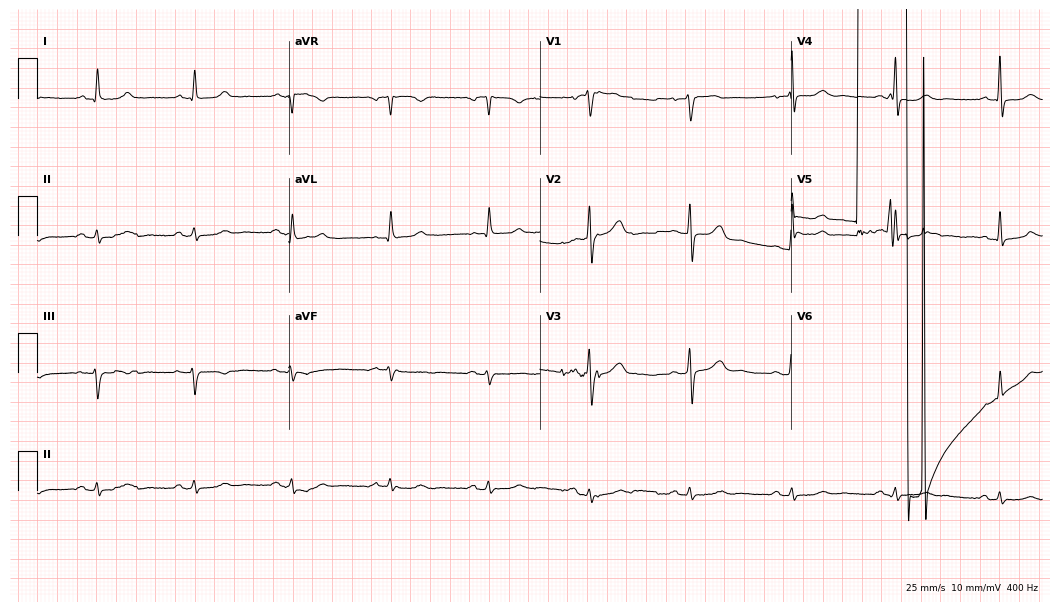
Electrocardiogram (10.2-second recording at 400 Hz), a 75-year-old female patient. Of the six screened findings (first-degree AV block, right bundle branch block, left bundle branch block, sinus bradycardia, atrial fibrillation, sinus tachycardia), none is recorded.